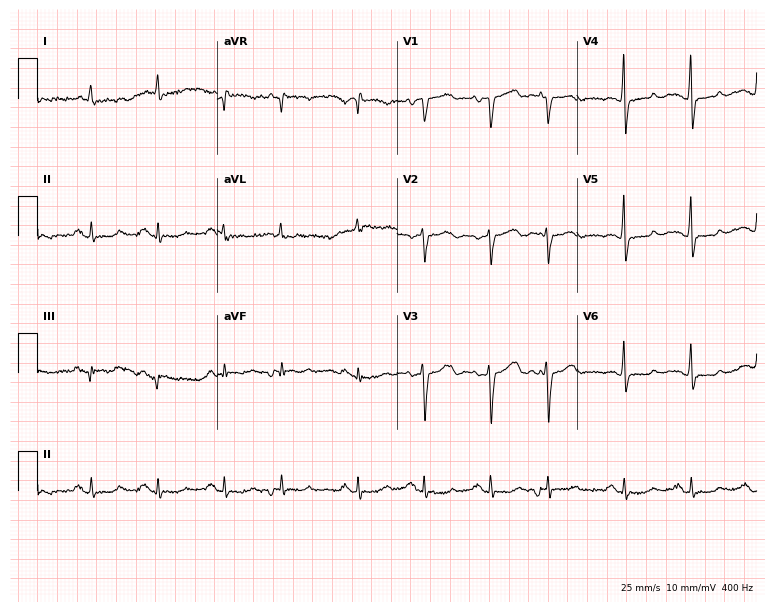
ECG — a 65-year-old woman. Screened for six findings — first-degree AV block, right bundle branch block, left bundle branch block, sinus bradycardia, atrial fibrillation, sinus tachycardia — none is recorded. Findings outside these six are not listed.